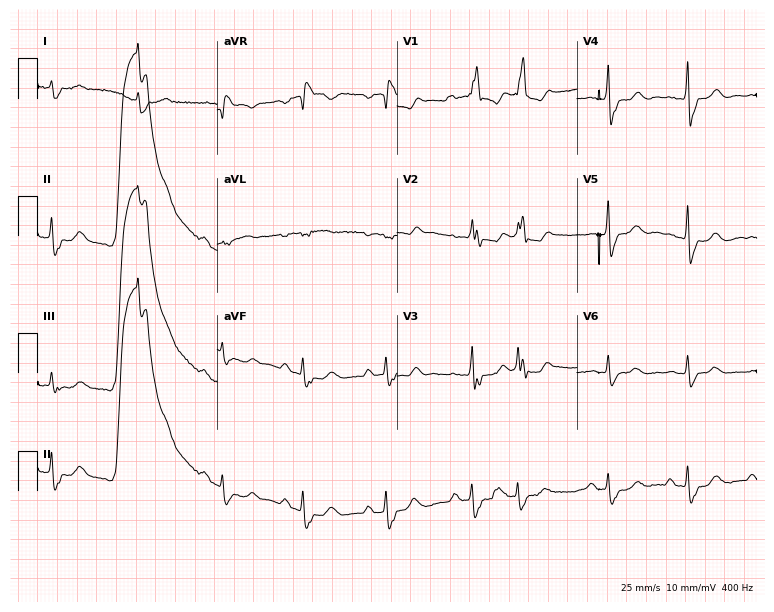
Standard 12-lead ECG recorded from a man, 80 years old. The tracing shows right bundle branch block.